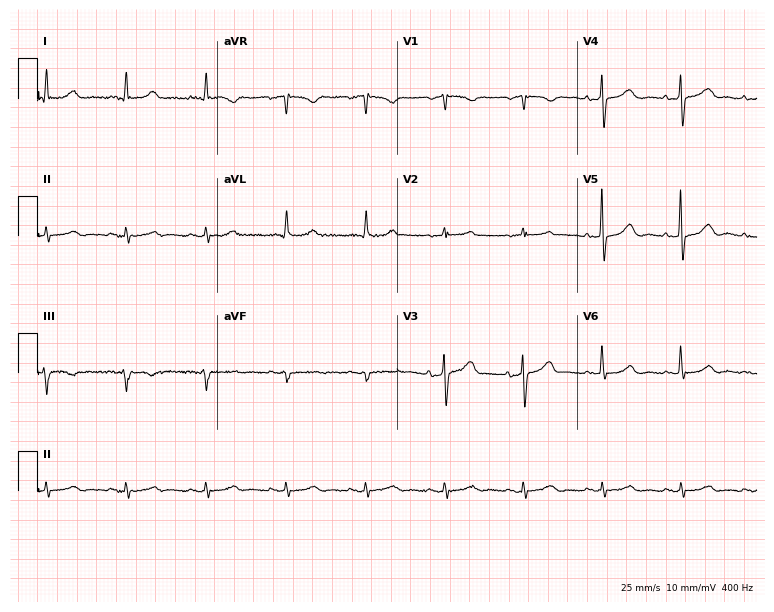
Electrocardiogram (7.3-second recording at 400 Hz), an 82-year-old male patient. Overall reading on record: normal ECG.